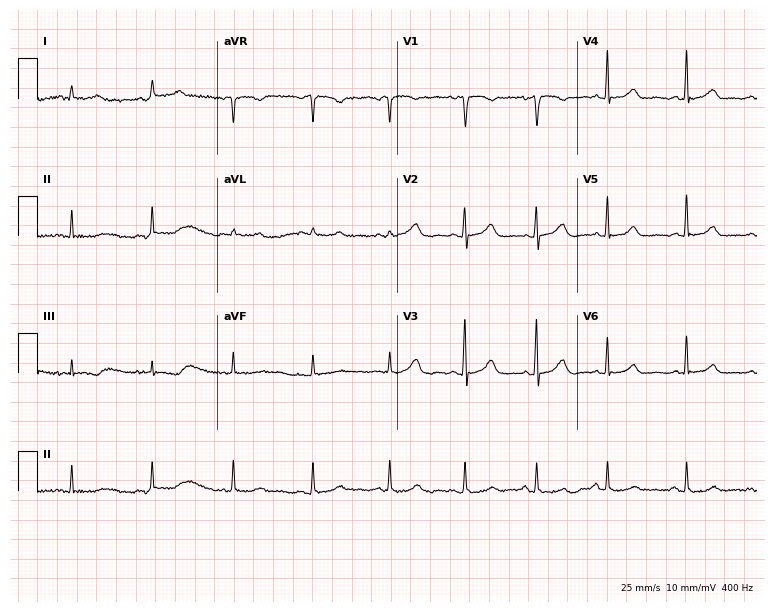
ECG (7.3-second recording at 400 Hz) — a female patient, 51 years old. Labelled as a normal ECG.